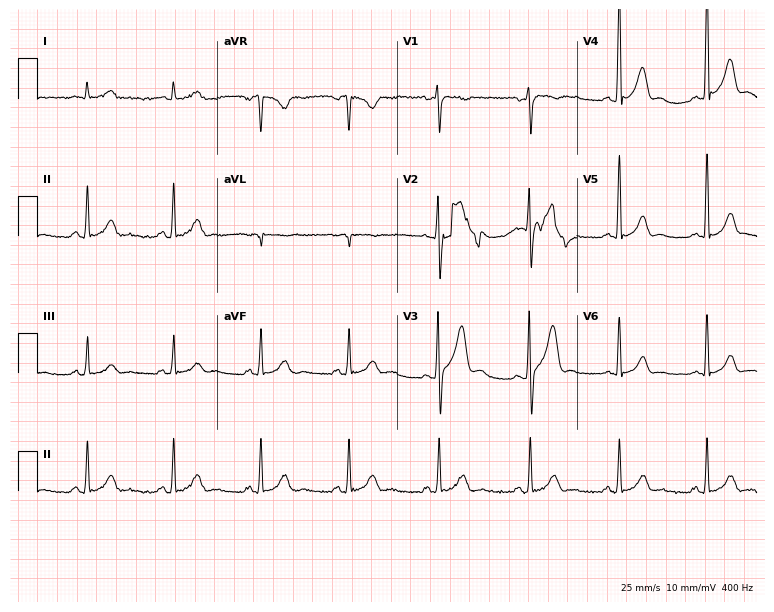
Electrocardiogram (7.3-second recording at 400 Hz), a man, 42 years old. Overall reading on record: normal ECG.